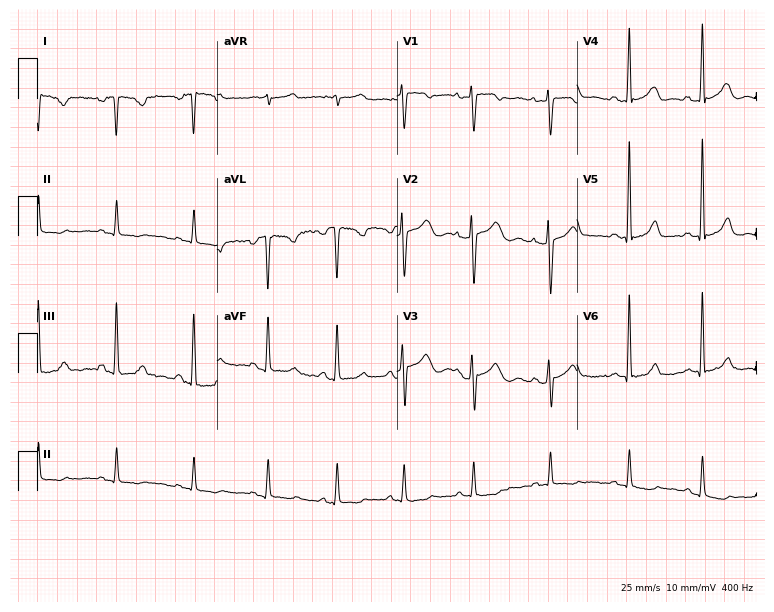
Standard 12-lead ECG recorded from a female patient, 26 years old. None of these six findings is recorded: first-degree AV block, right bundle branch block, left bundle branch block, sinus bradycardia, atrial fibrillation, sinus tachycardia.